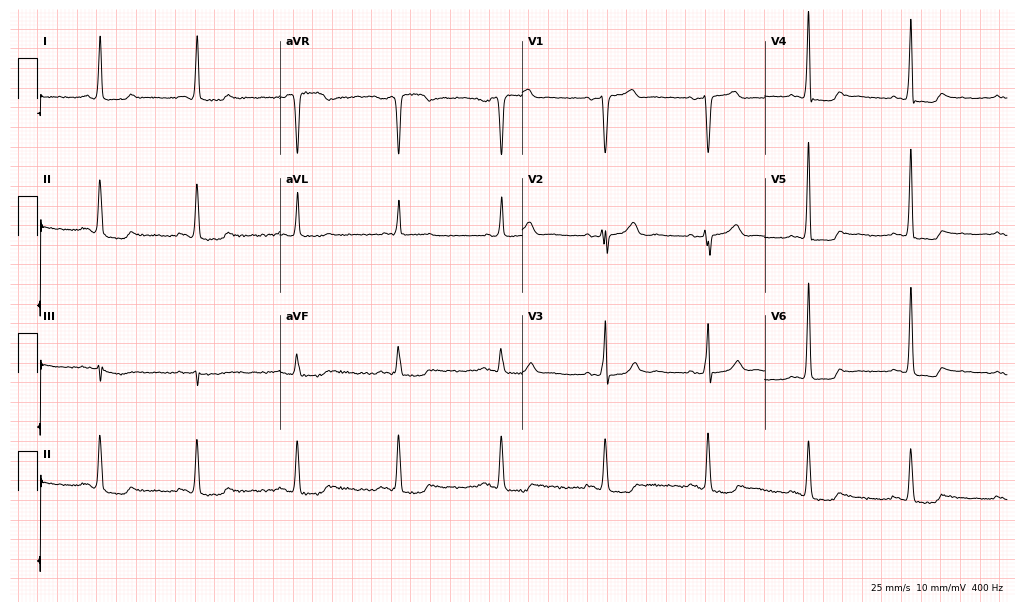
ECG (9.9-second recording at 400 Hz) — a female, 59 years old. Screened for six findings — first-degree AV block, right bundle branch block (RBBB), left bundle branch block (LBBB), sinus bradycardia, atrial fibrillation (AF), sinus tachycardia — none is recorded. Only these six findings were labelled.